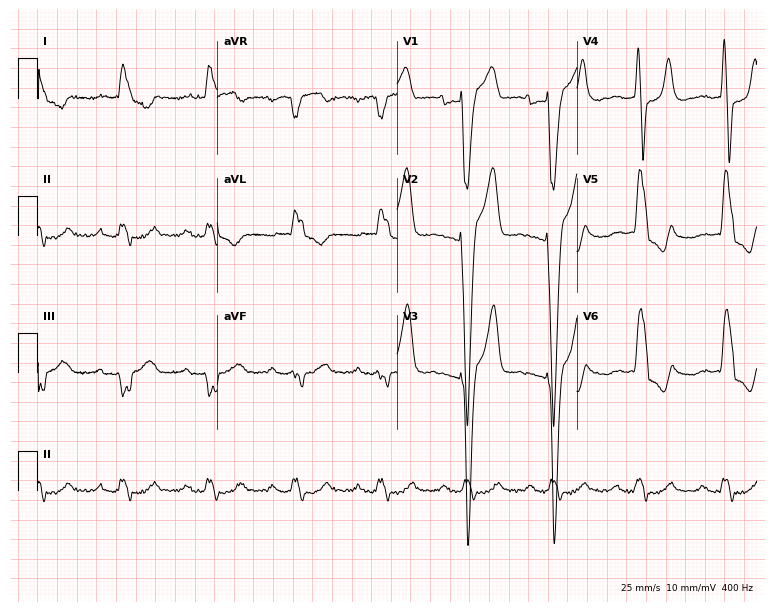
Resting 12-lead electrocardiogram. Patient: a female, 84 years old. The tracing shows left bundle branch block, sinus tachycardia (a sinus rate of 100 beats per minute or more).